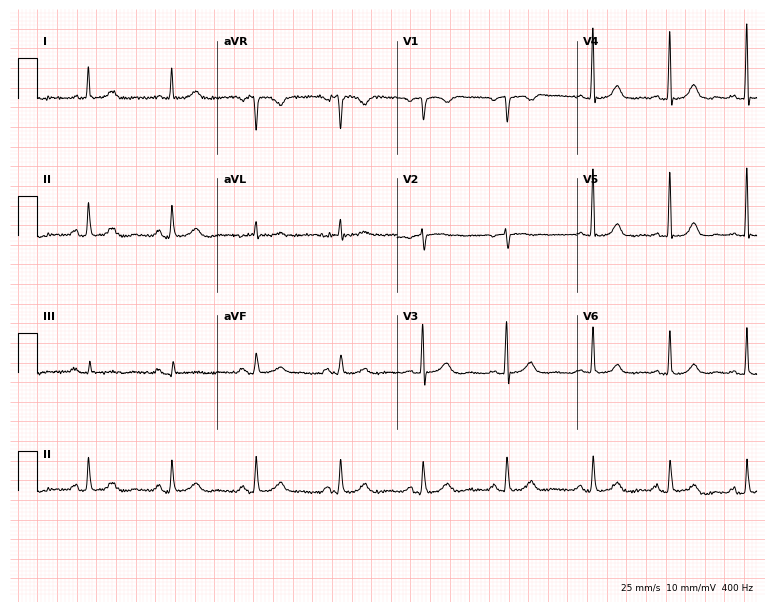
12-lead ECG from a 75-year-old female patient. Recorded interpretation: within normal limits.